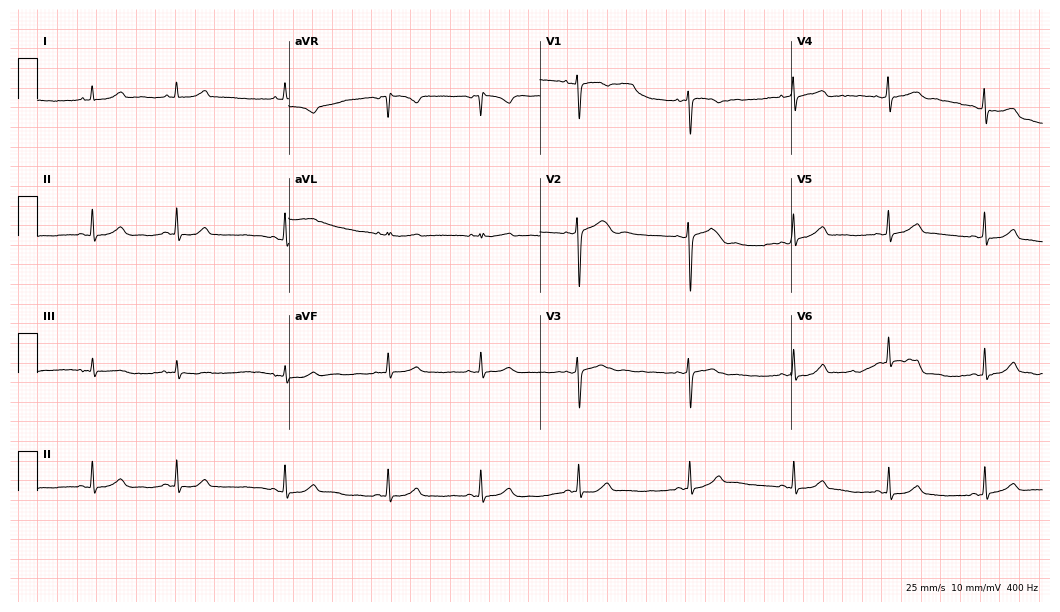
12-lead ECG from a female patient, 19 years old. Labelled as a normal ECG.